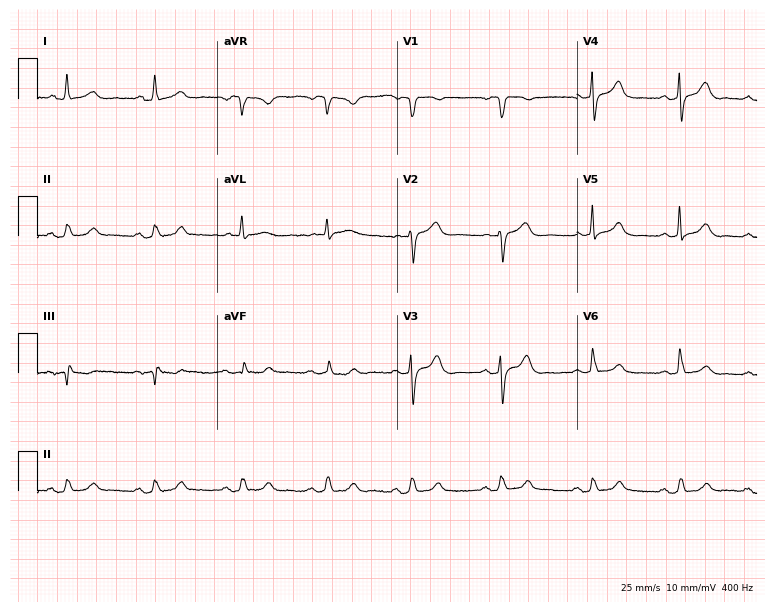
Electrocardiogram (7.3-second recording at 400 Hz), a female patient, 72 years old. Overall reading on record: normal ECG.